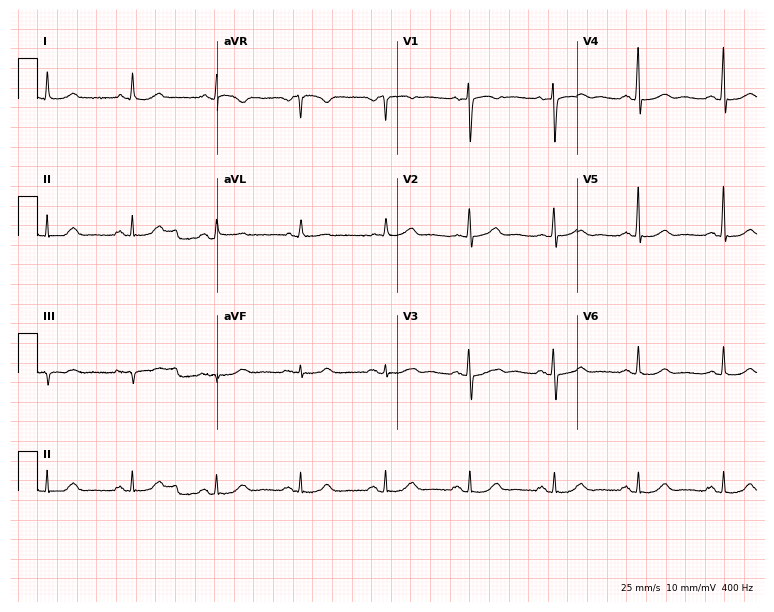
Resting 12-lead electrocardiogram (7.3-second recording at 400 Hz). Patient: a 71-year-old female. Read as a normal ECG.